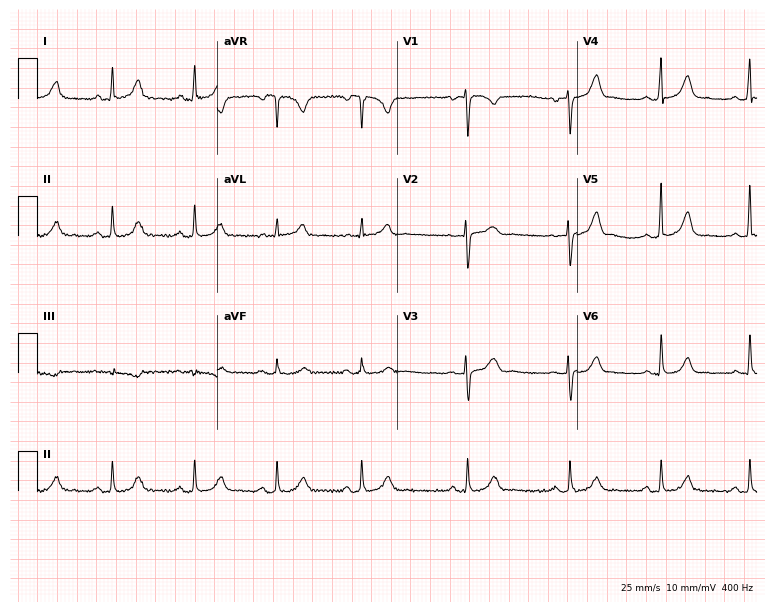
ECG (7.3-second recording at 400 Hz) — a 41-year-old female patient. Labelled as a normal ECG.